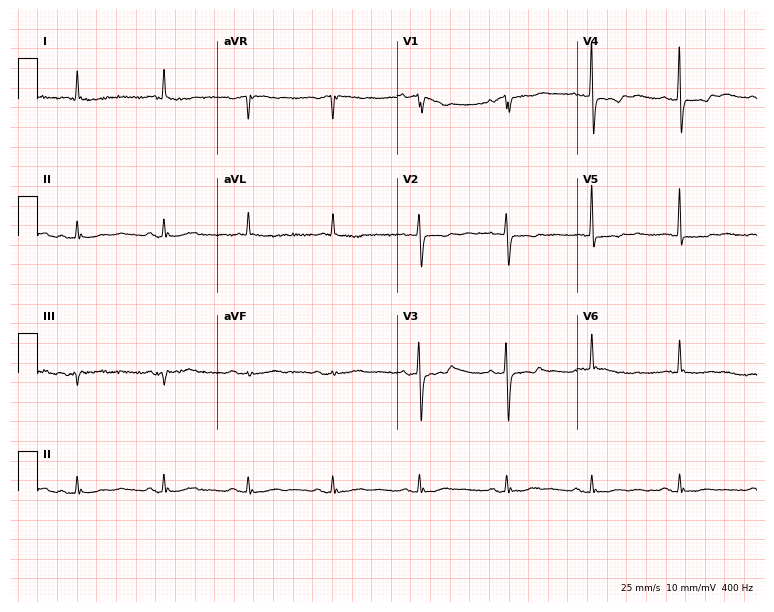
12-lead ECG from a 79-year-old woman (7.3-second recording at 400 Hz). No first-degree AV block, right bundle branch block (RBBB), left bundle branch block (LBBB), sinus bradycardia, atrial fibrillation (AF) or sinus tachycardia recorded for this tracing. Other findings, if any, are not listed.